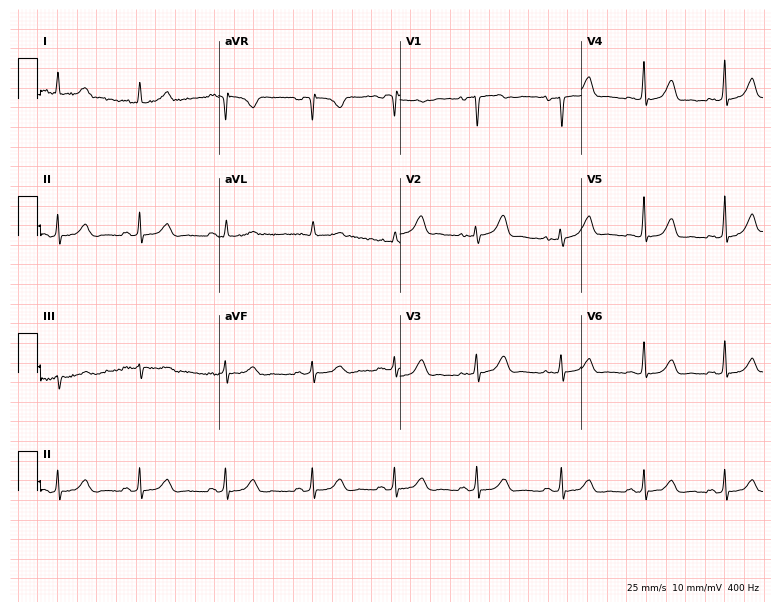
Electrocardiogram, a woman, 28 years old. Overall reading on record: normal ECG.